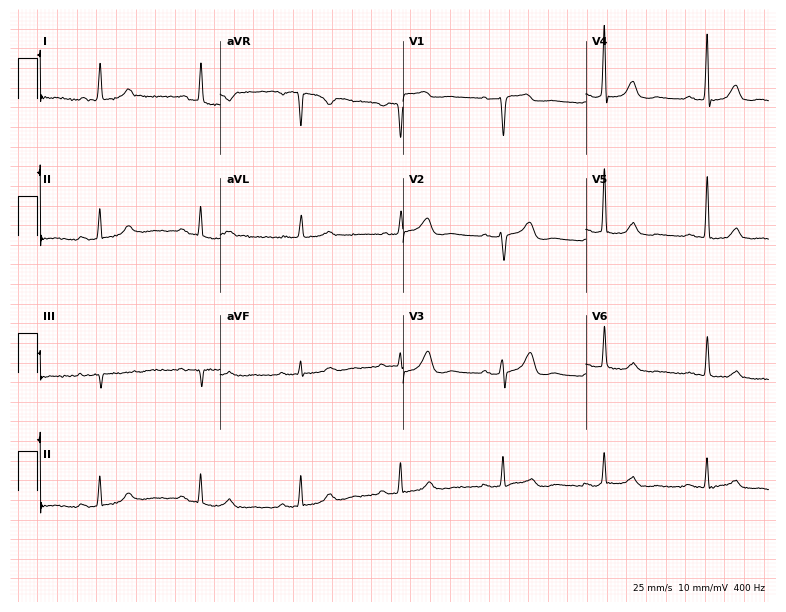
Standard 12-lead ECG recorded from a female, 60 years old (7.5-second recording at 400 Hz). None of these six findings is recorded: first-degree AV block, right bundle branch block, left bundle branch block, sinus bradycardia, atrial fibrillation, sinus tachycardia. Findings outside these six are not listed.